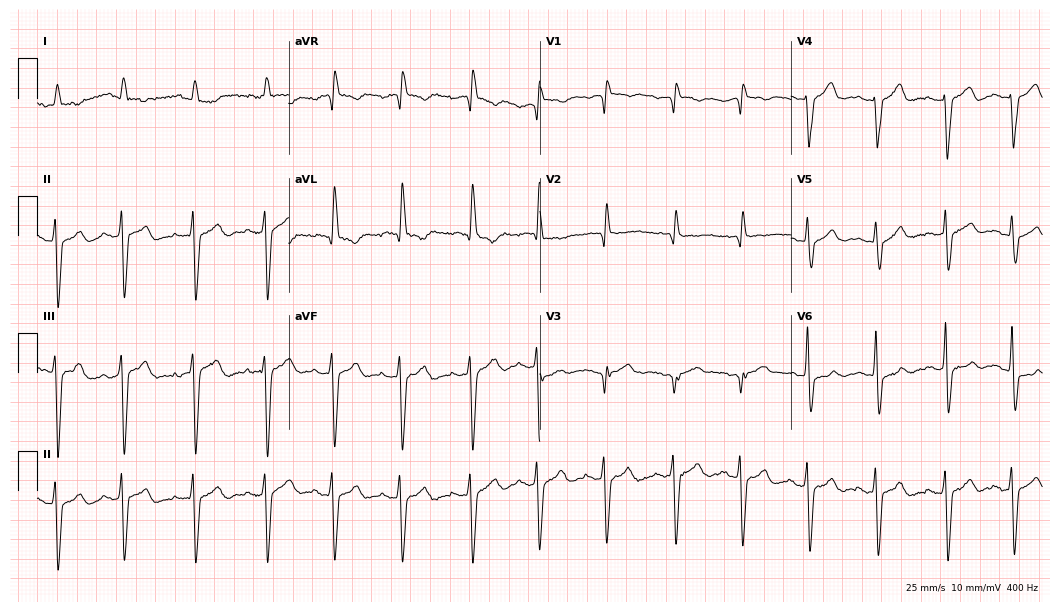
Electrocardiogram (10.2-second recording at 400 Hz), an 83-year-old female. Interpretation includes left bundle branch block (LBBB).